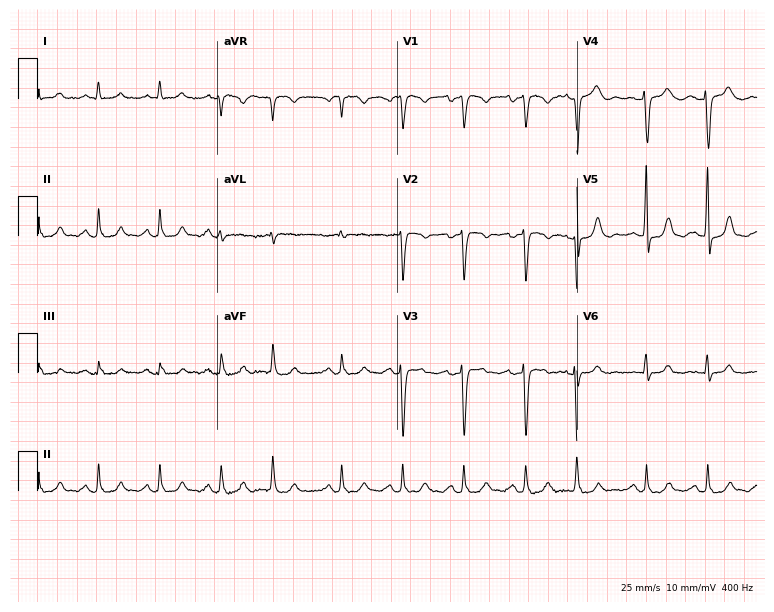
ECG — an 81-year-old female patient. Screened for six findings — first-degree AV block, right bundle branch block (RBBB), left bundle branch block (LBBB), sinus bradycardia, atrial fibrillation (AF), sinus tachycardia — none is recorded. Findings outside these six are not listed.